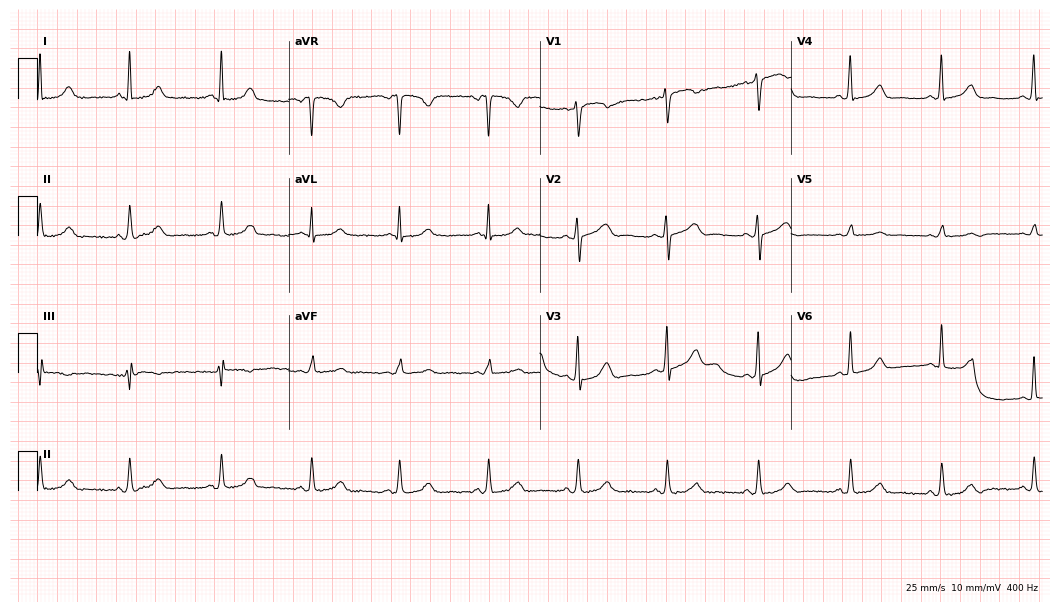
ECG (10.2-second recording at 400 Hz) — a 51-year-old female. Labelled as a normal ECG.